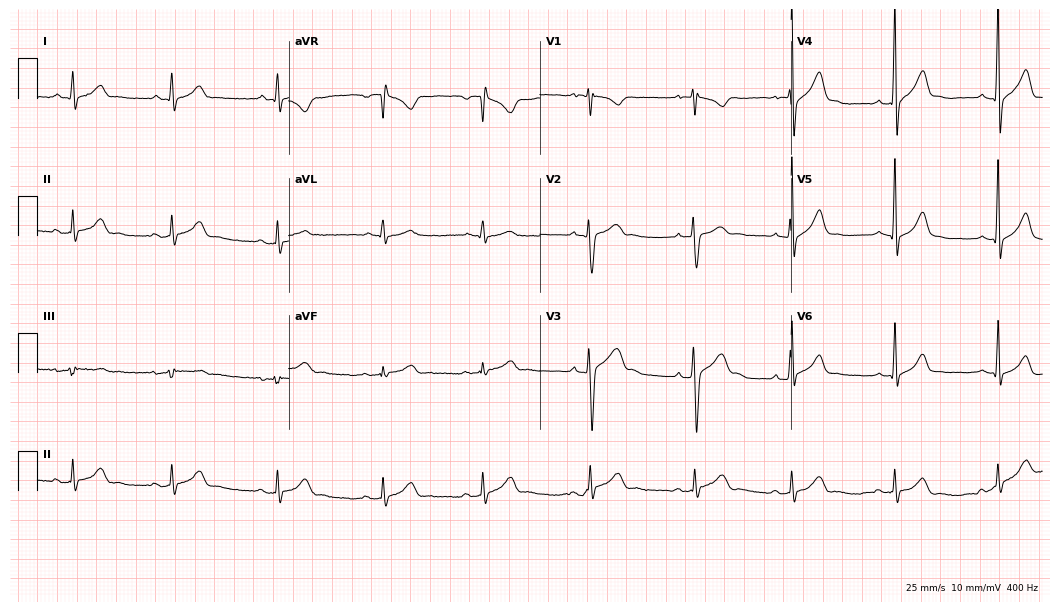
Standard 12-lead ECG recorded from a 17-year-old male patient (10.2-second recording at 400 Hz). Read as a normal ECG.